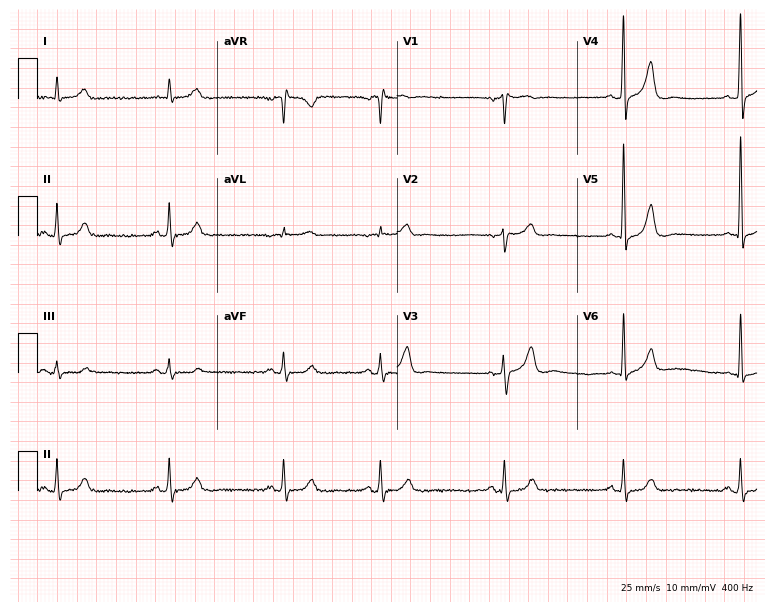
ECG — a male, 84 years old. Labelled as a normal ECG.